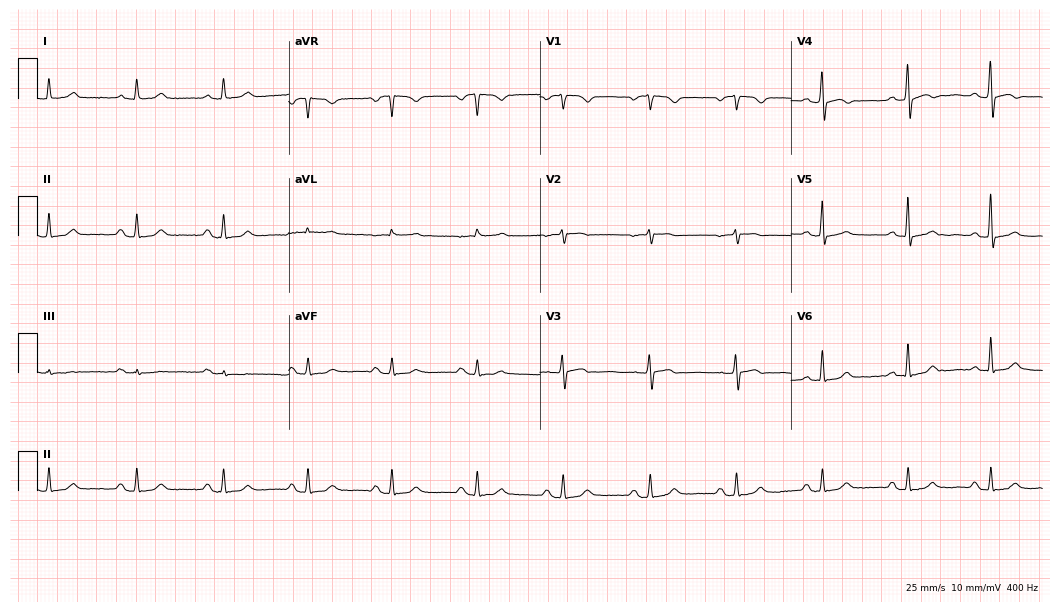
Standard 12-lead ECG recorded from a woman, 62 years old. Read as a normal ECG.